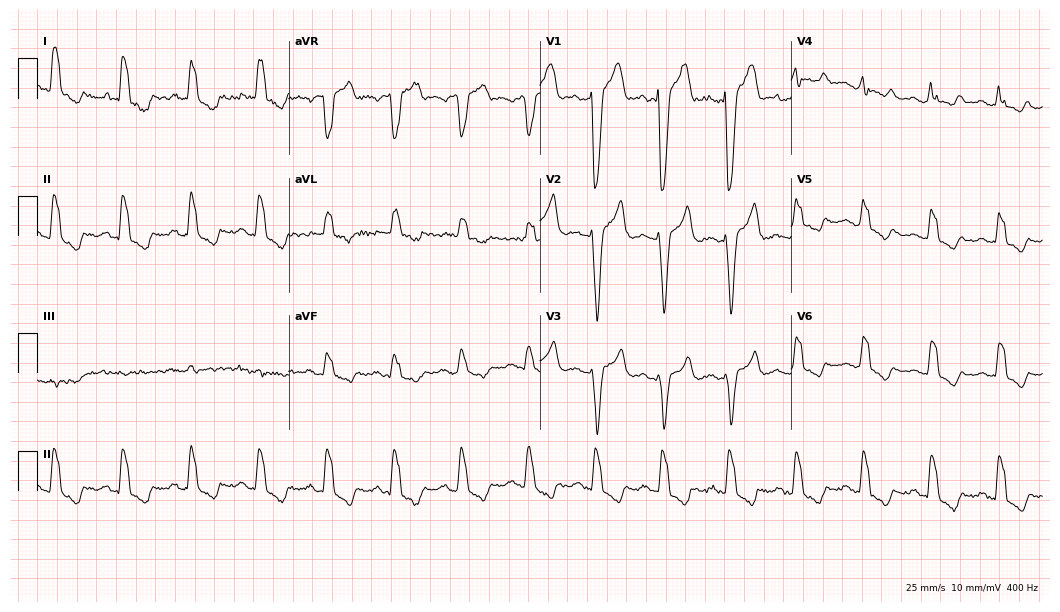
ECG — a male patient, 72 years old. Findings include left bundle branch block (LBBB).